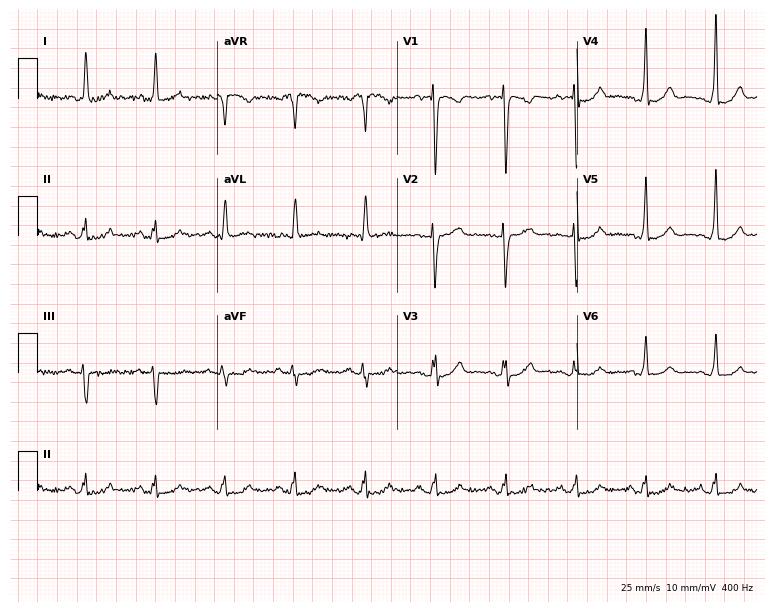
12-lead ECG (7.3-second recording at 400 Hz) from a 66-year-old female patient. Screened for six findings — first-degree AV block, right bundle branch block, left bundle branch block, sinus bradycardia, atrial fibrillation, sinus tachycardia — none is recorded. Only these six findings were labelled.